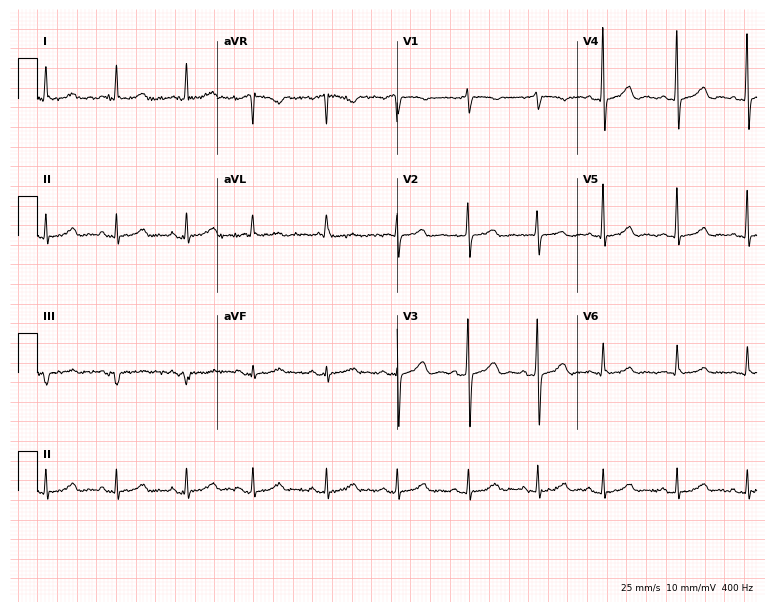
12-lead ECG (7.3-second recording at 400 Hz) from a 79-year-old female. Labelled as a normal ECG.